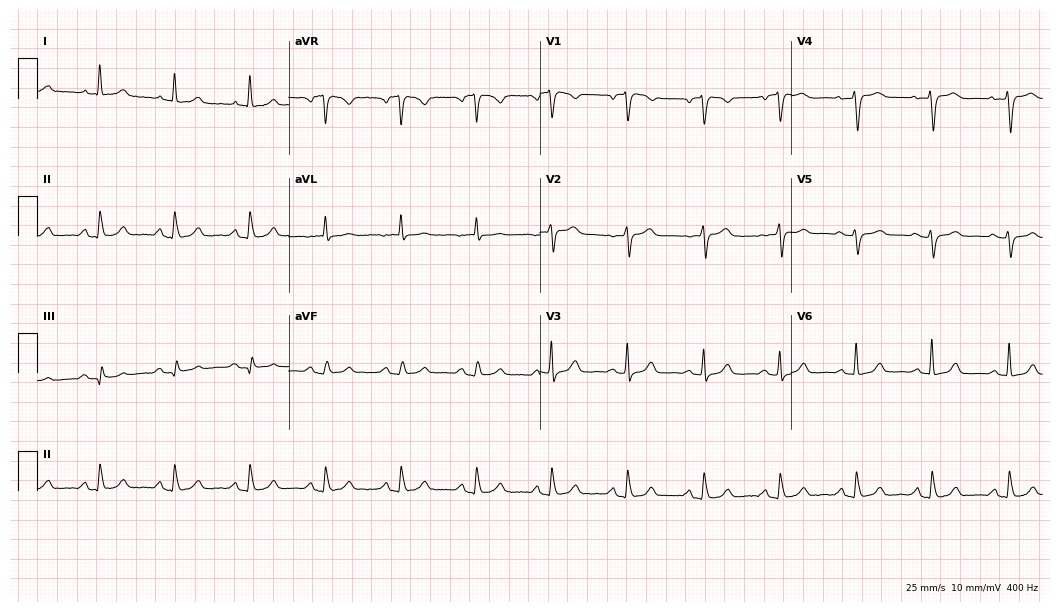
ECG (10.2-second recording at 400 Hz) — a female, 74 years old. Labelled as a normal ECG.